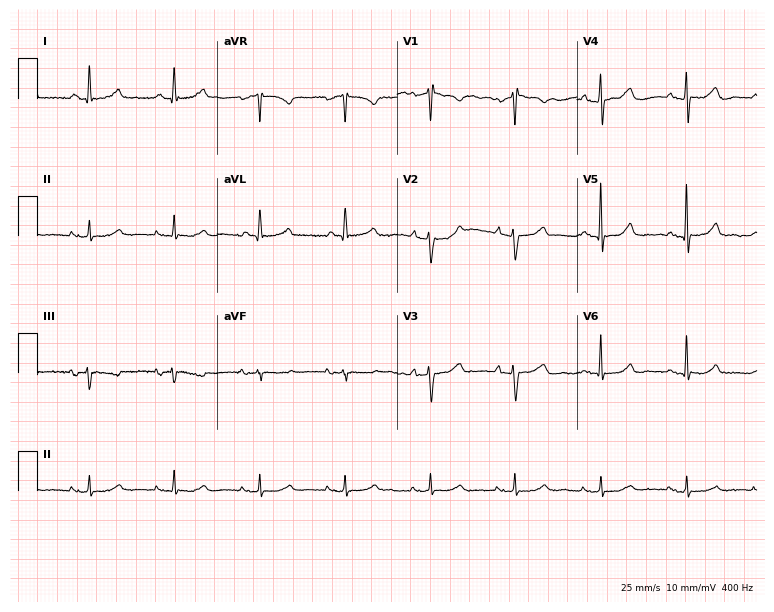
ECG (7.3-second recording at 400 Hz) — a male, 67 years old. Labelled as a normal ECG.